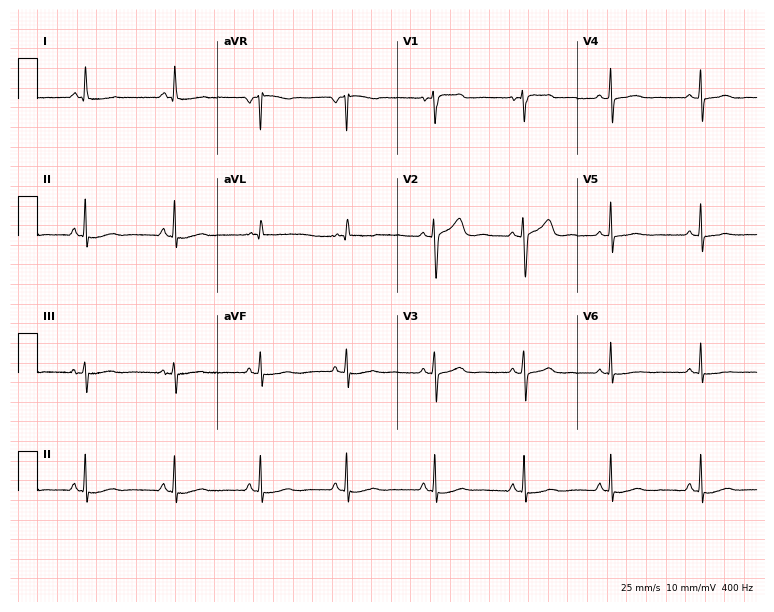
Resting 12-lead electrocardiogram (7.3-second recording at 400 Hz). Patient: a 46-year-old woman. None of these six findings is recorded: first-degree AV block, right bundle branch block, left bundle branch block, sinus bradycardia, atrial fibrillation, sinus tachycardia. Findings outside these six are not listed.